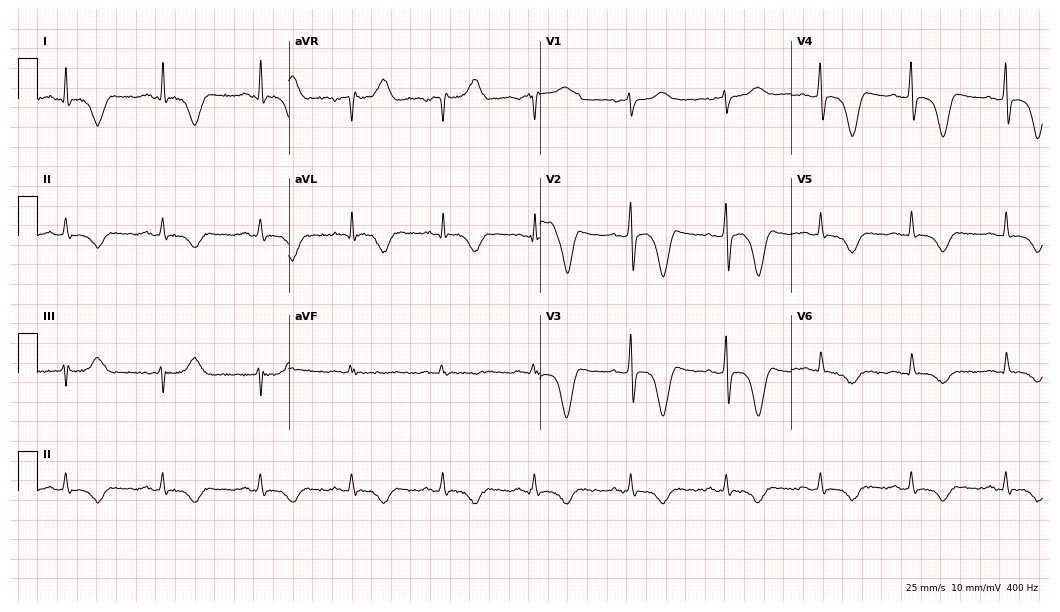
12-lead ECG from a 53-year-old woman (10.2-second recording at 400 Hz). No first-degree AV block, right bundle branch block, left bundle branch block, sinus bradycardia, atrial fibrillation or sinus tachycardia recorded for this tracing. Only these six findings were labelled.